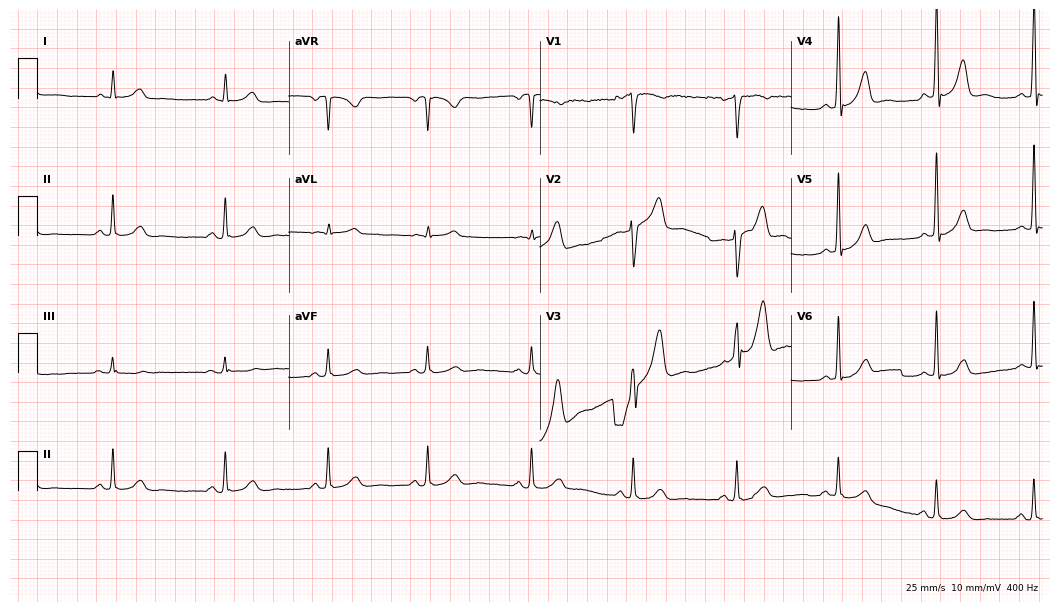
Electrocardiogram, a 61-year-old male patient. Overall reading on record: normal ECG.